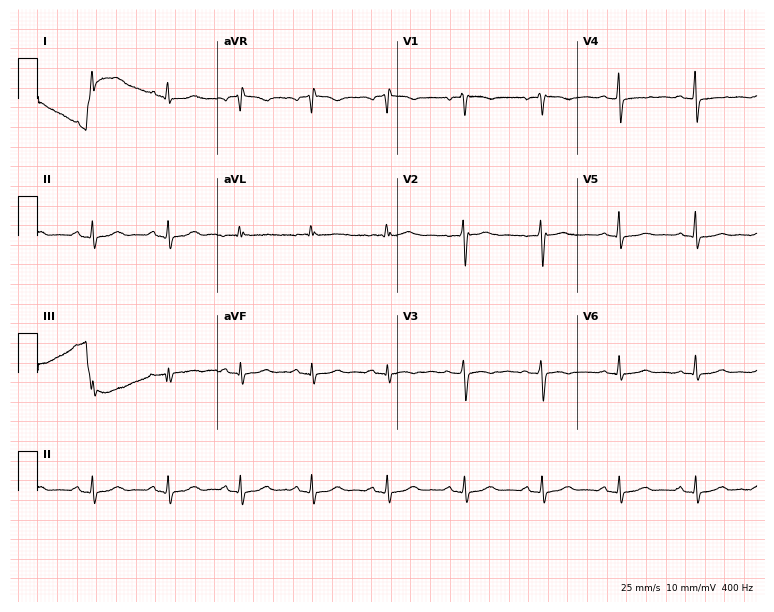
ECG (7.3-second recording at 400 Hz) — a 54-year-old female. Screened for six findings — first-degree AV block, right bundle branch block, left bundle branch block, sinus bradycardia, atrial fibrillation, sinus tachycardia — none is recorded. Only these six findings were labelled.